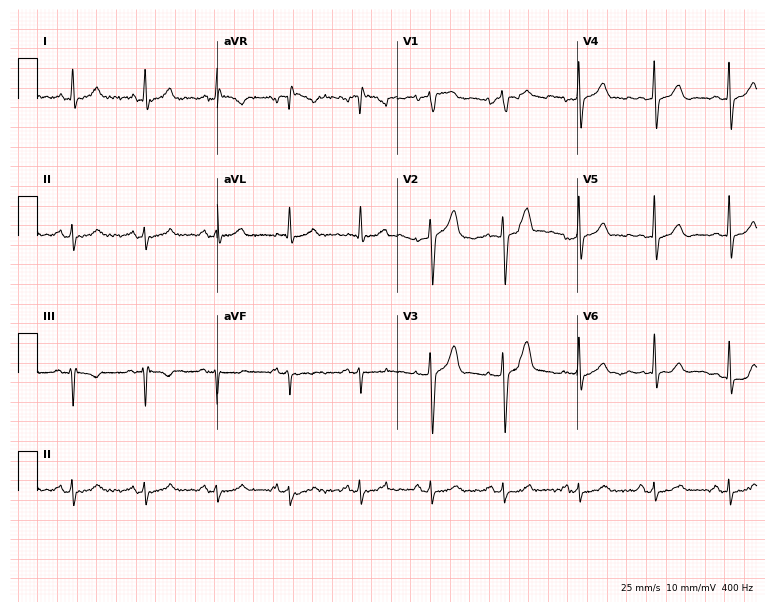
12-lead ECG from a male patient, 54 years old (7.3-second recording at 400 Hz). No first-degree AV block, right bundle branch block (RBBB), left bundle branch block (LBBB), sinus bradycardia, atrial fibrillation (AF) or sinus tachycardia recorded for this tracing. Only these six findings were labelled.